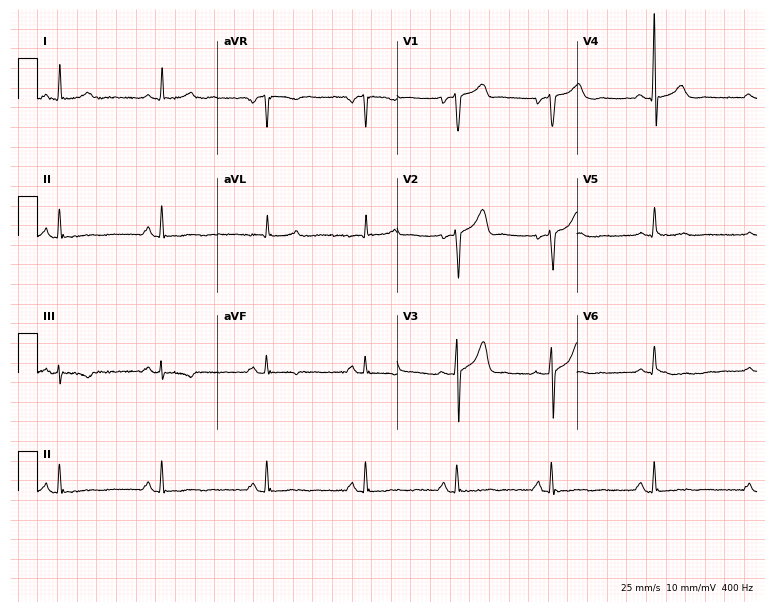
ECG (7.3-second recording at 400 Hz) — a 46-year-old man. Screened for six findings — first-degree AV block, right bundle branch block, left bundle branch block, sinus bradycardia, atrial fibrillation, sinus tachycardia — none is recorded. Findings outside these six are not listed.